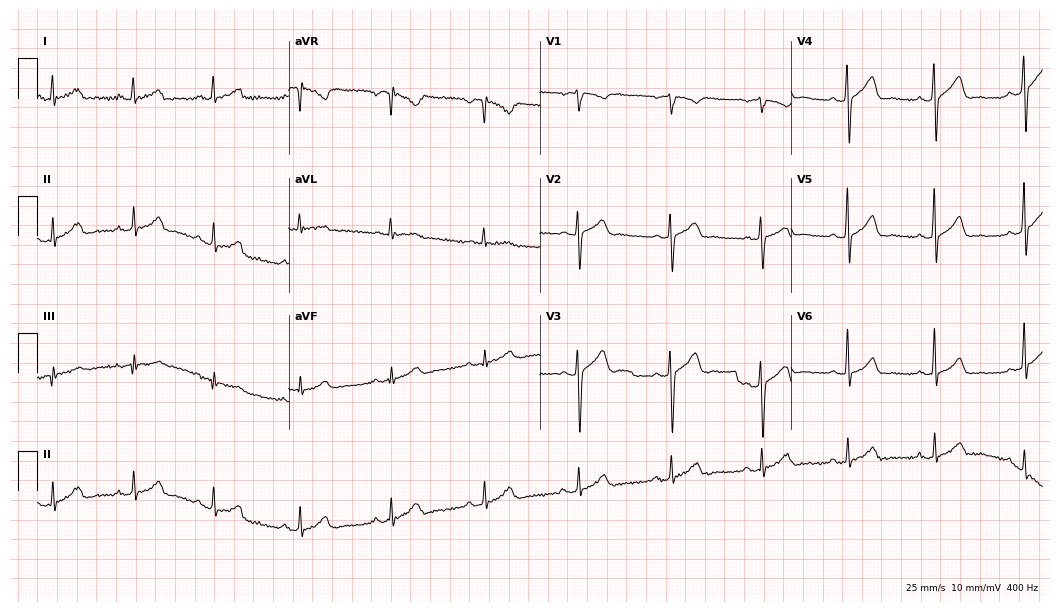
Standard 12-lead ECG recorded from a 31-year-old male patient. Read as a normal ECG.